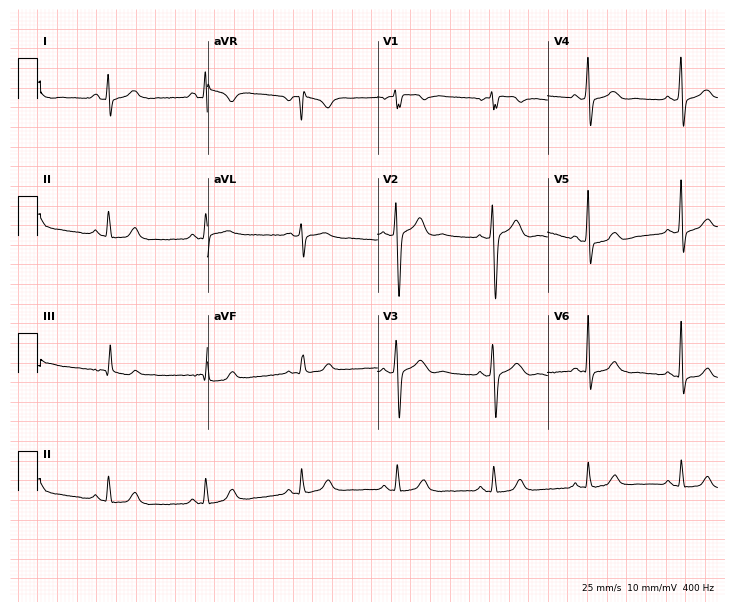
12-lead ECG from a 44-year-old male. Recorded interpretation: within normal limits.